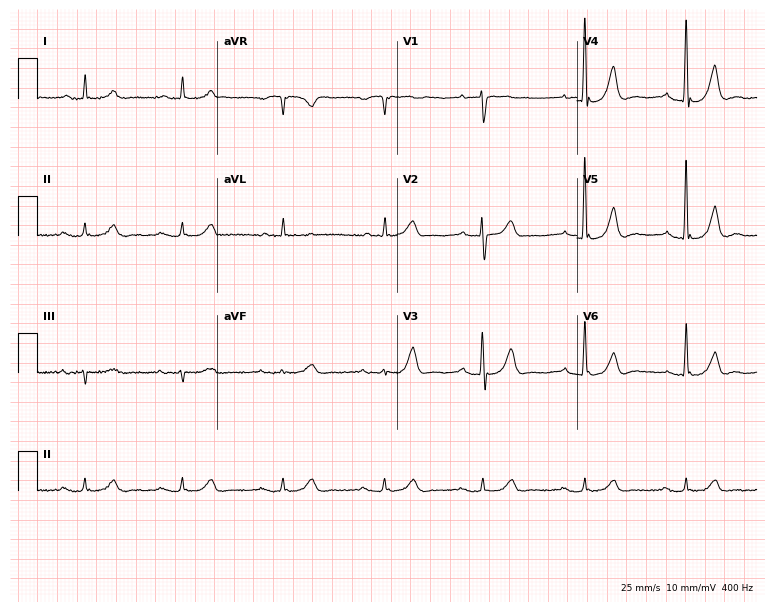
12-lead ECG from a 75-year-old male. Findings include first-degree AV block.